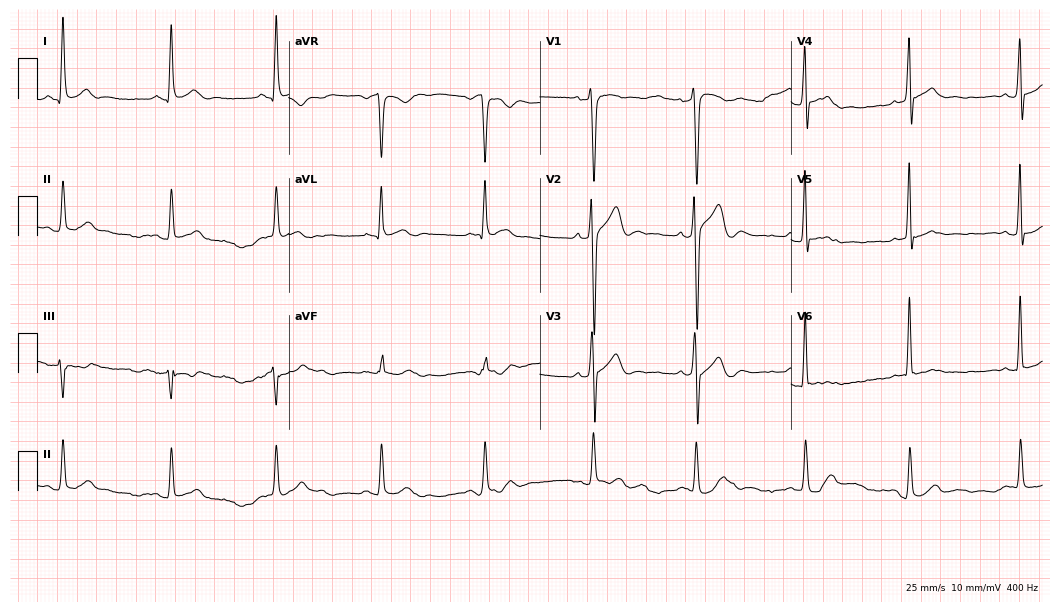
12-lead ECG from a male, 34 years old (10.2-second recording at 400 Hz). No first-degree AV block, right bundle branch block, left bundle branch block, sinus bradycardia, atrial fibrillation or sinus tachycardia recorded for this tracing.